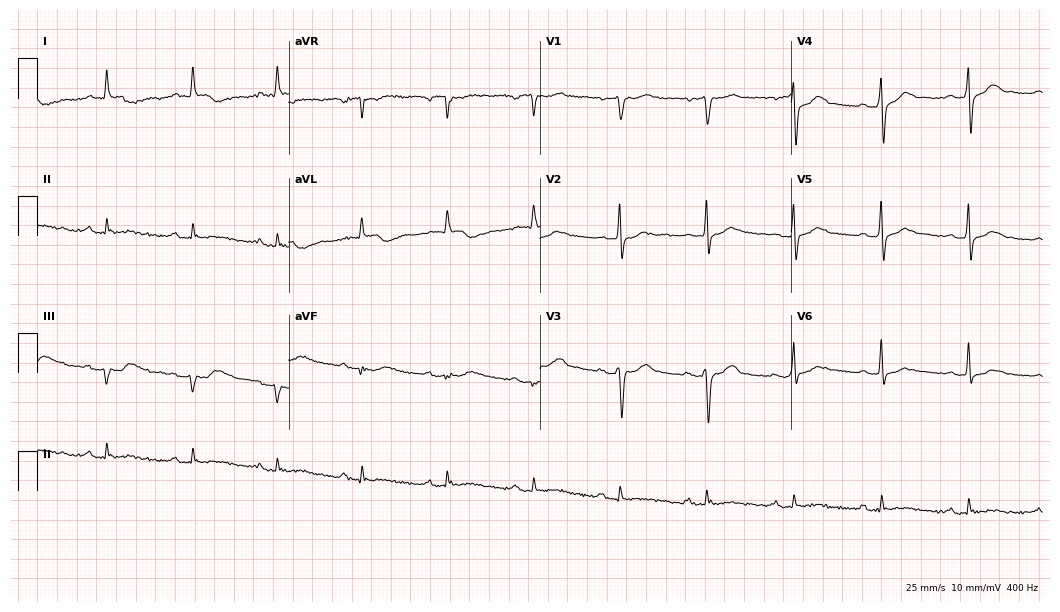
12-lead ECG from a male, 63 years old. Recorded interpretation: within normal limits.